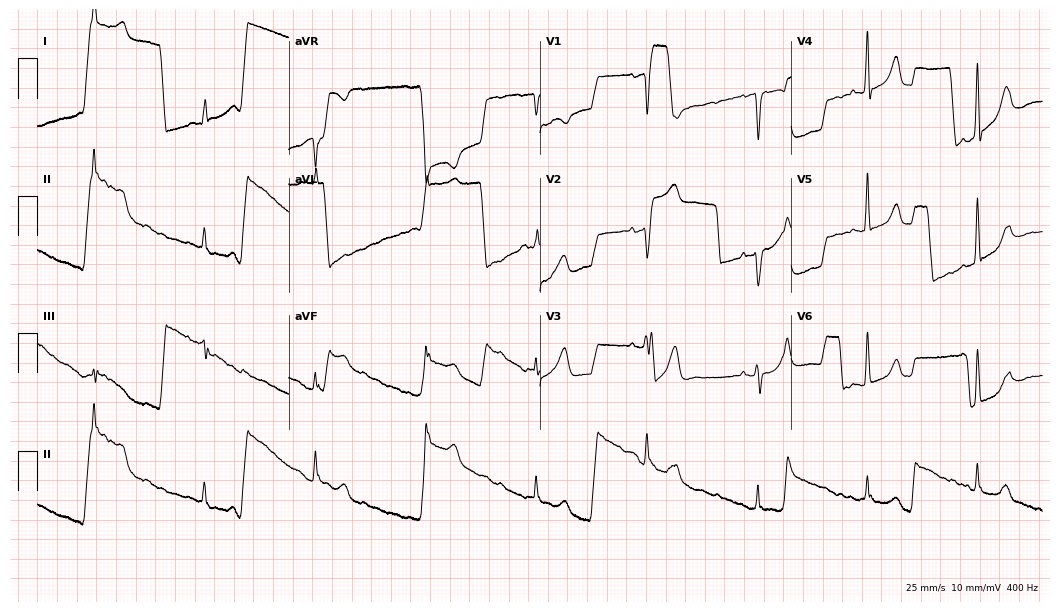
12-lead ECG from a 59-year-old man (10.2-second recording at 400 Hz). No first-degree AV block, right bundle branch block (RBBB), left bundle branch block (LBBB), sinus bradycardia, atrial fibrillation (AF) or sinus tachycardia recorded for this tracing. Findings outside these six are not listed.